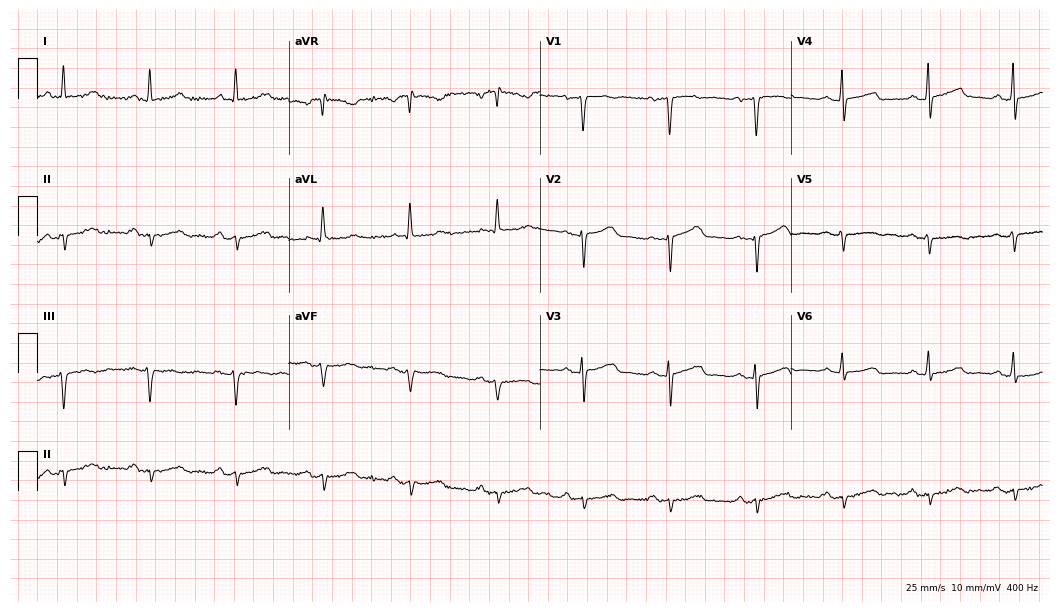
Standard 12-lead ECG recorded from a 62-year-old female patient. None of these six findings is recorded: first-degree AV block, right bundle branch block, left bundle branch block, sinus bradycardia, atrial fibrillation, sinus tachycardia. Only these six findings were labelled.